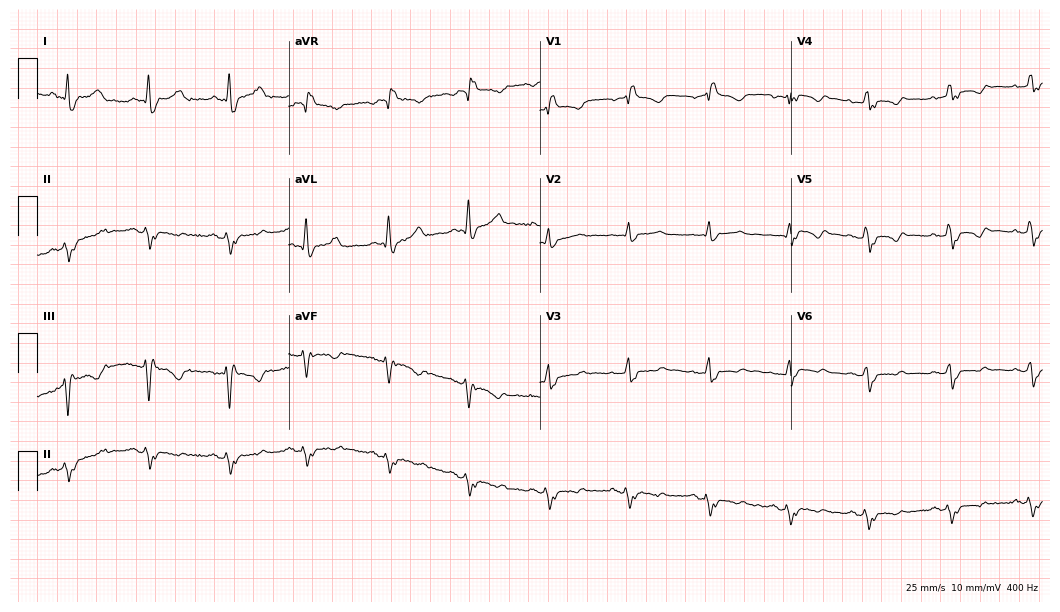
Standard 12-lead ECG recorded from a female, 74 years old. The tracing shows right bundle branch block.